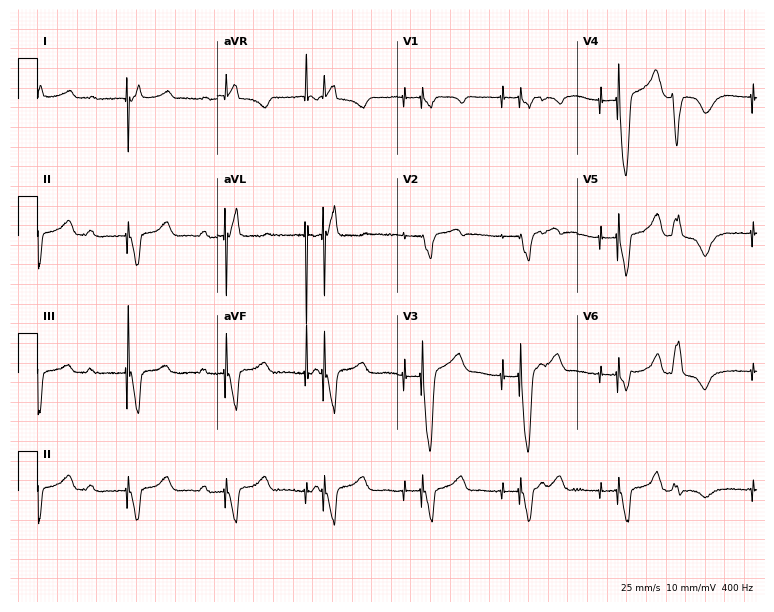
ECG — a woman, 68 years old. Screened for six findings — first-degree AV block, right bundle branch block, left bundle branch block, sinus bradycardia, atrial fibrillation, sinus tachycardia — none is recorded. Findings outside these six are not listed.